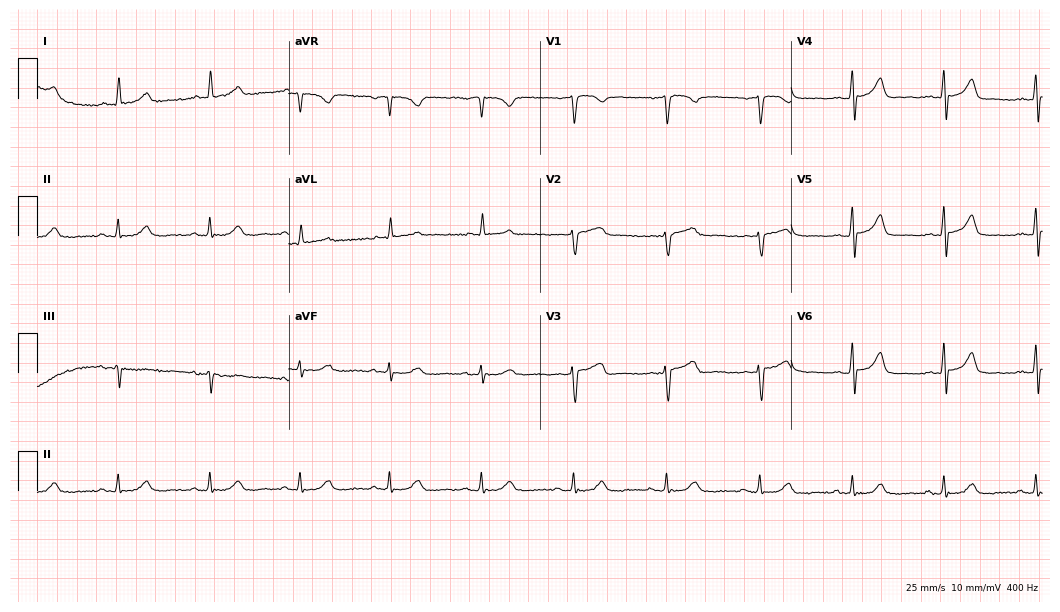
Electrocardiogram (10.2-second recording at 400 Hz), a 79-year-old man. Of the six screened findings (first-degree AV block, right bundle branch block, left bundle branch block, sinus bradycardia, atrial fibrillation, sinus tachycardia), none is recorded. Other findings, if any, are not listed.